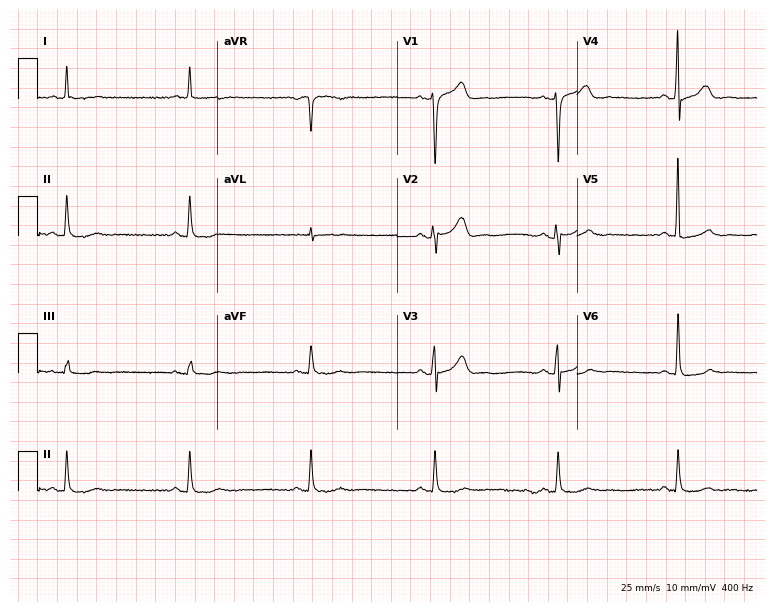
12-lead ECG (7.3-second recording at 400 Hz) from a male, 63 years old. Findings include sinus bradycardia (a sinus rate of 50 beats per minute or less).